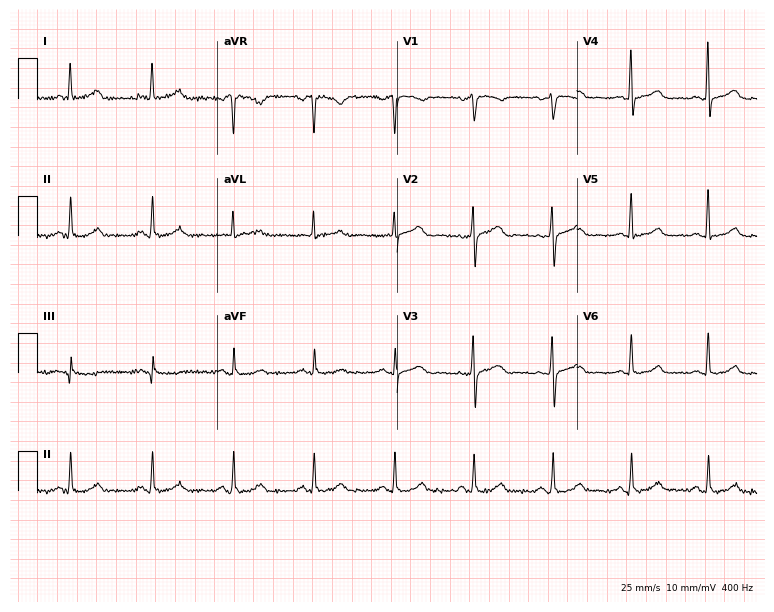
Resting 12-lead electrocardiogram (7.3-second recording at 400 Hz). Patient: a 62-year-old woman. Read as a normal ECG.